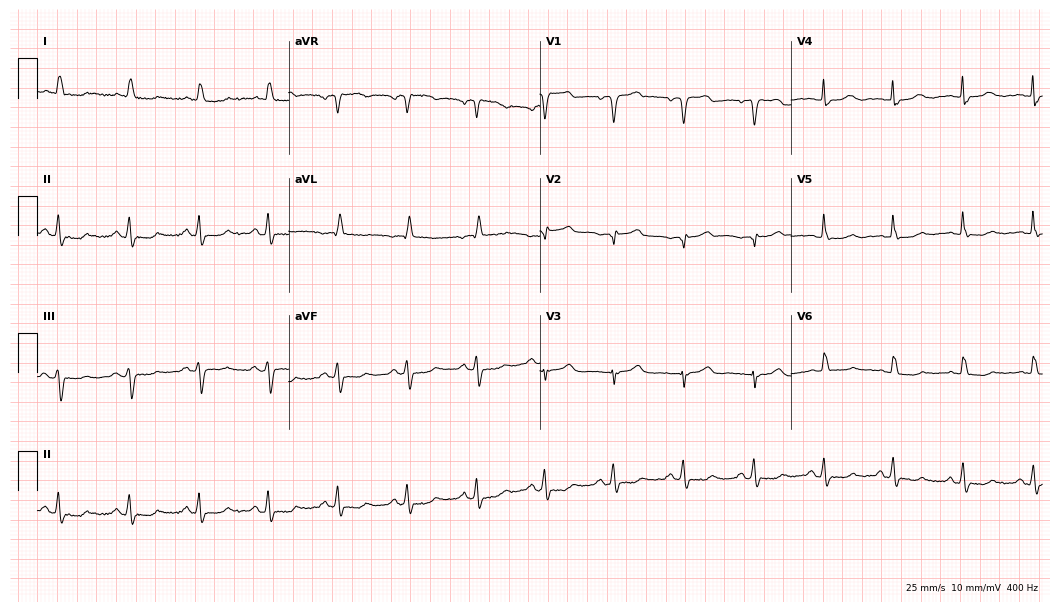
Electrocardiogram, a 74-year-old female. Of the six screened findings (first-degree AV block, right bundle branch block, left bundle branch block, sinus bradycardia, atrial fibrillation, sinus tachycardia), none is recorded. Findings outside these six are not listed.